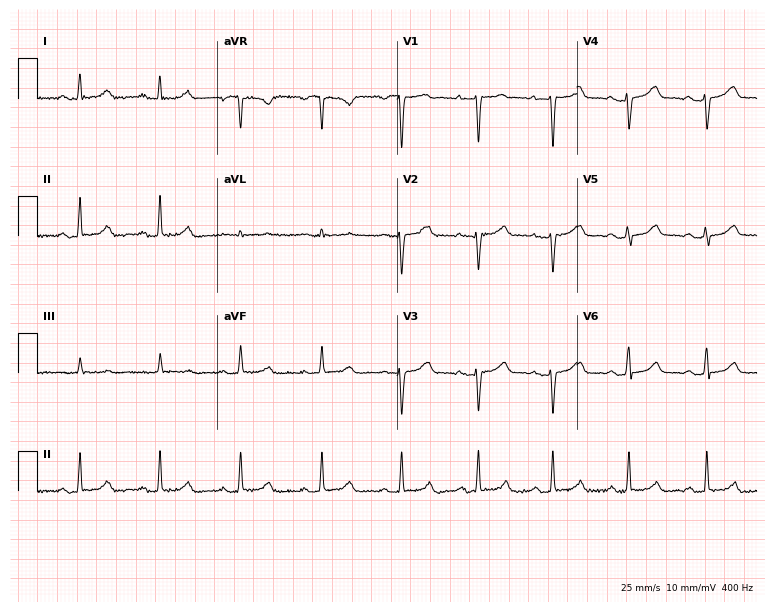
12-lead ECG (7.3-second recording at 400 Hz) from a 34-year-old woman. Screened for six findings — first-degree AV block, right bundle branch block, left bundle branch block, sinus bradycardia, atrial fibrillation, sinus tachycardia — none is recorded. Only these six findings were labelled.